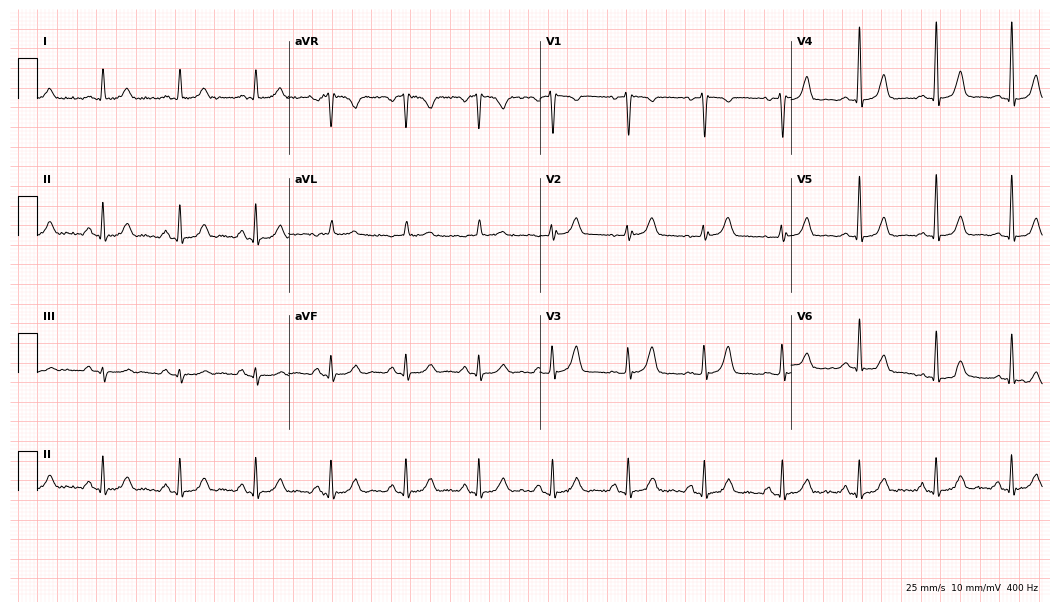
12-lead ECG from a 47-year-old female patient (10.2-second recording at 400 Hz). No first-degree AV block, right bundle branch block, left bundle branch block, sinus bradycardia, atrial fibrillation or sinus tachycardia recorded for this tracing. Findings outside these six are not listed.